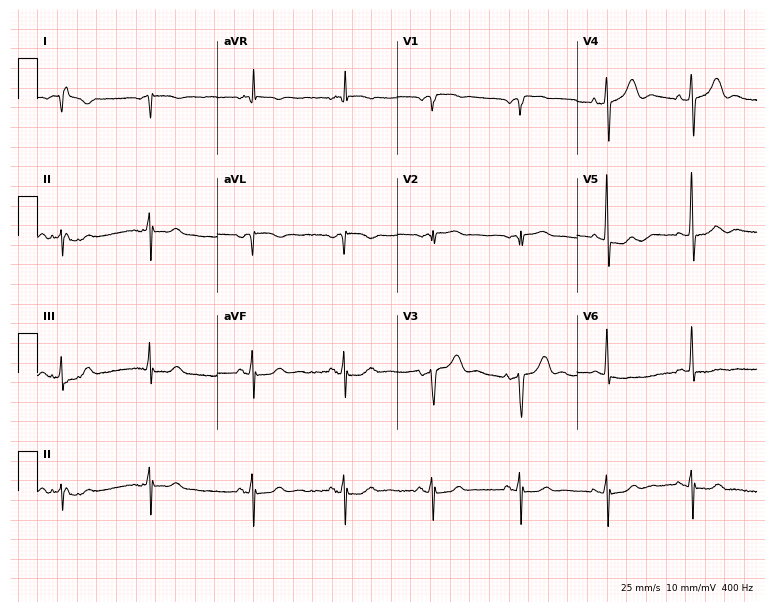
ECG — a 69-year-old female patient. Screened for six findings — first-degree AV block, right bundle branch block, left bundle branch block, sinus bradycardia, atrial fibrillation, sinus tachycardia — none is recorded. Findings outside these six are not listed.